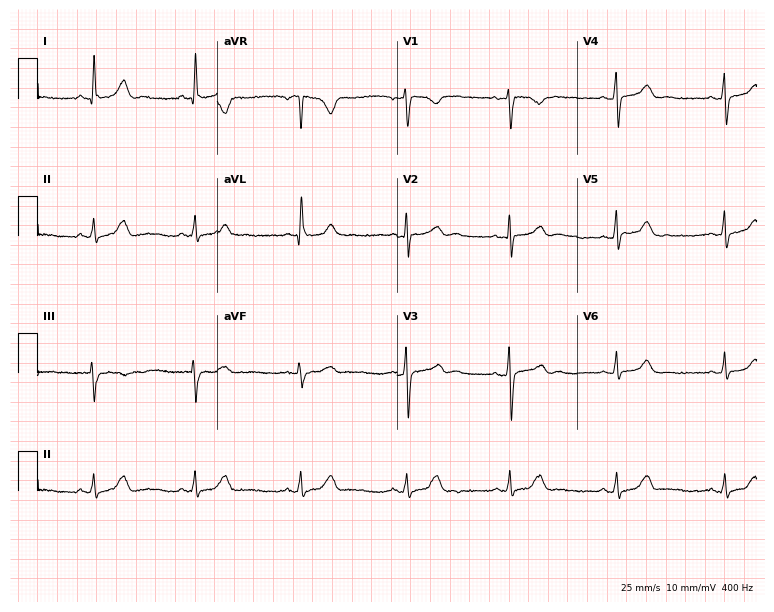
Standard 12-lead ECG recorded from a woman, 54 years old. Read as a normal ECG.